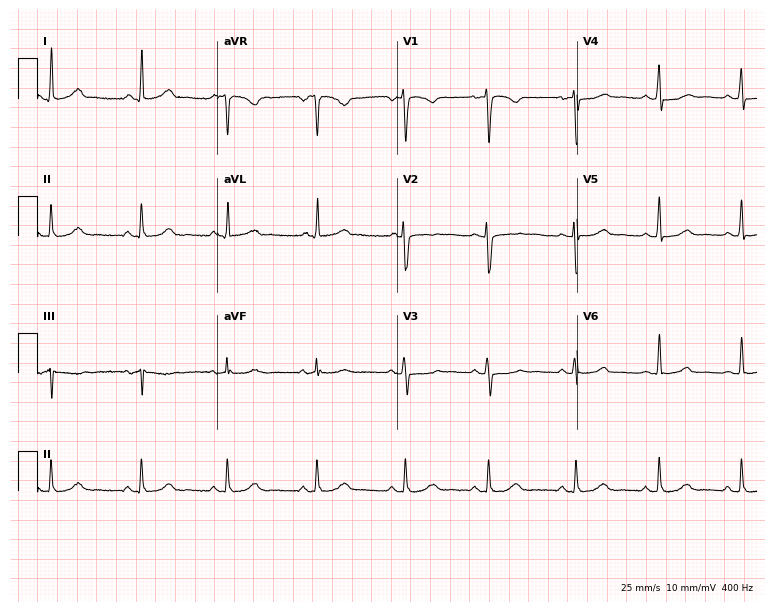
Resting 12-lead electrocardiogram. Patient: a female, 44 years old. None of these six findings is recorded: first-degree AV block, right bundle branch block, left bundle branch block, sinus bradycardia, atrial fibrillation, sinus tachycardia. Other findings, if any, are not listed.